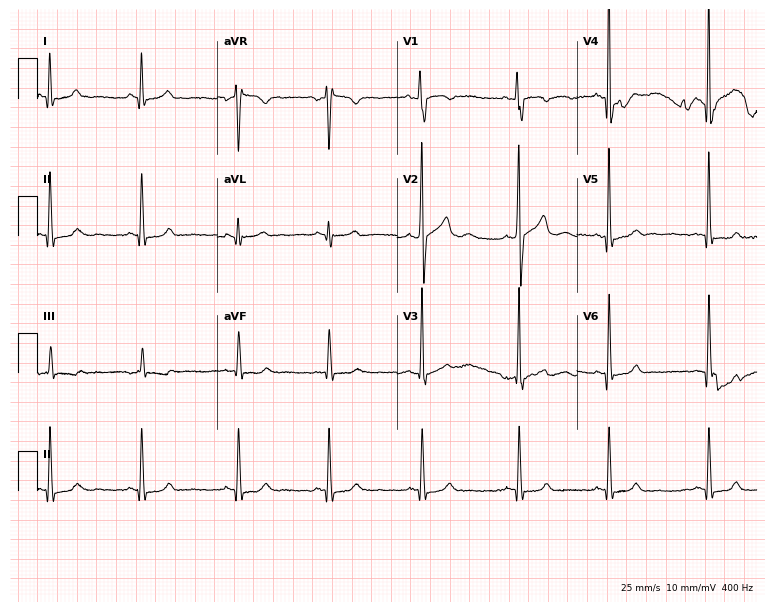
Electrocardiogram, a 31-year-old male patient. Overall reading on record: normal ECG.